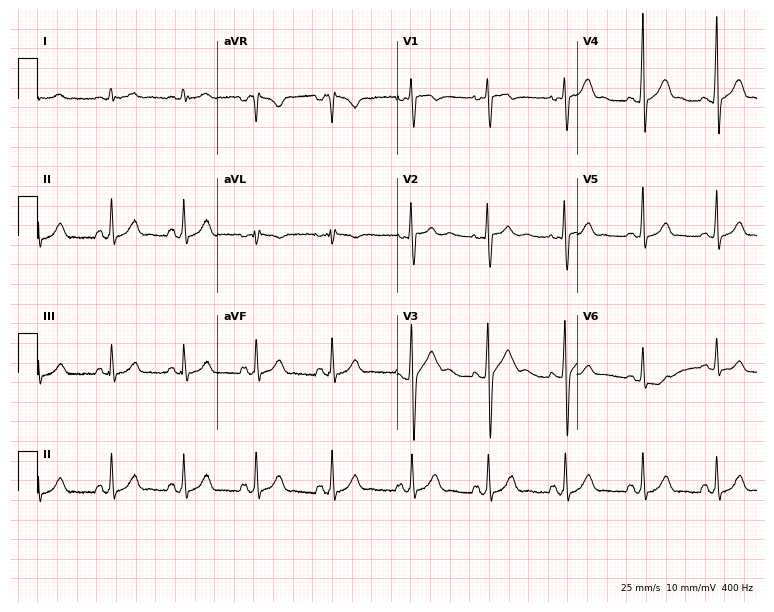
ECG — a 22-year-old male. Screened for six findings — first-degree AV block, right bundle branch block (RBBB), left bundle branch block (LBBB), sinus bradycardia, atrial fibrillation (AF), sinus tachycardia — none is recorded. Findings outside these six are not listed.